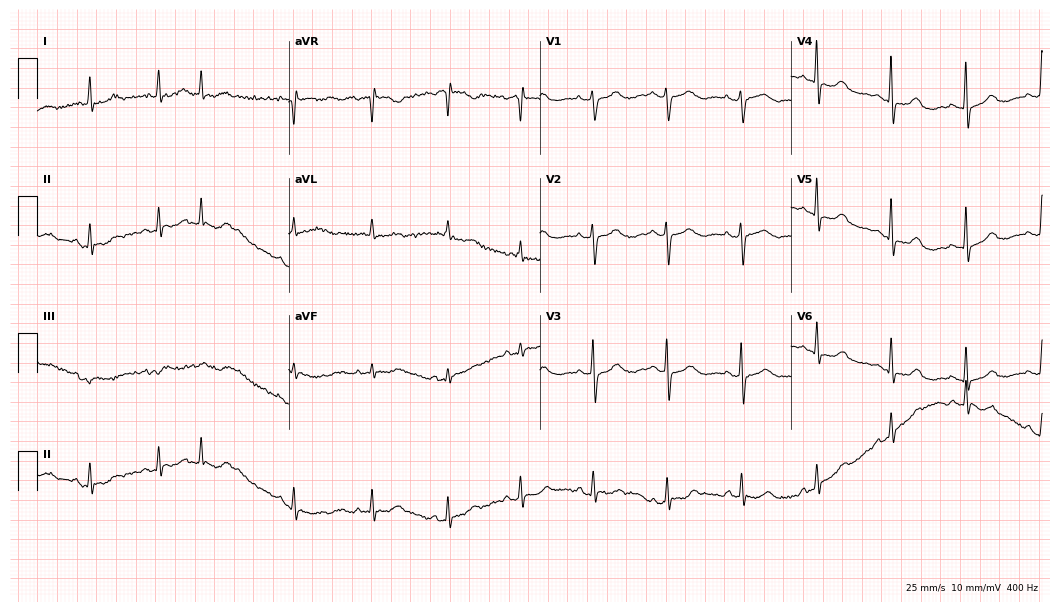
ECG (10.2-second recording at 400 Hz) — a female patient, 81 years old. Screened for six findings — first-degree AV block, right bundle branch block, left bundle branch block, sinus bradycardia, atrial fibrillation, sinus tachycardia — none is recorded. Other findings, if any, are not listed.